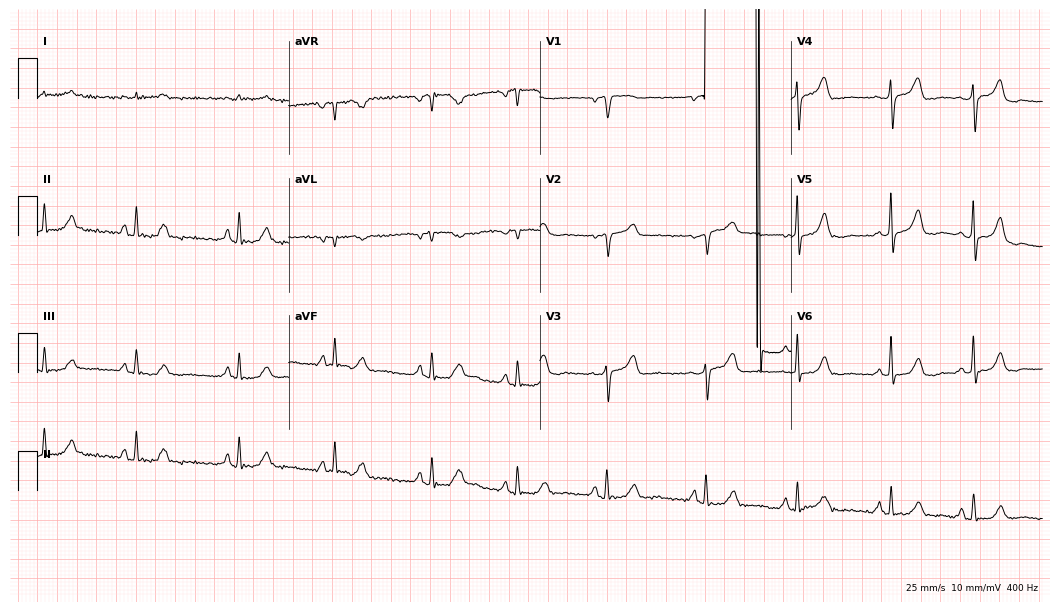
Standard 12-lead ECG recorded from a male, 84 years old (10.2-second recording at 400 Hz). None of these six findings is recorded: first-degree AV block, right bundle branch block (RBBB), left bundle branch block (LBBB), sinus bradycardia, atrial fibrillation (AF), sinus tachycardia. Findings outside these six are not listed.